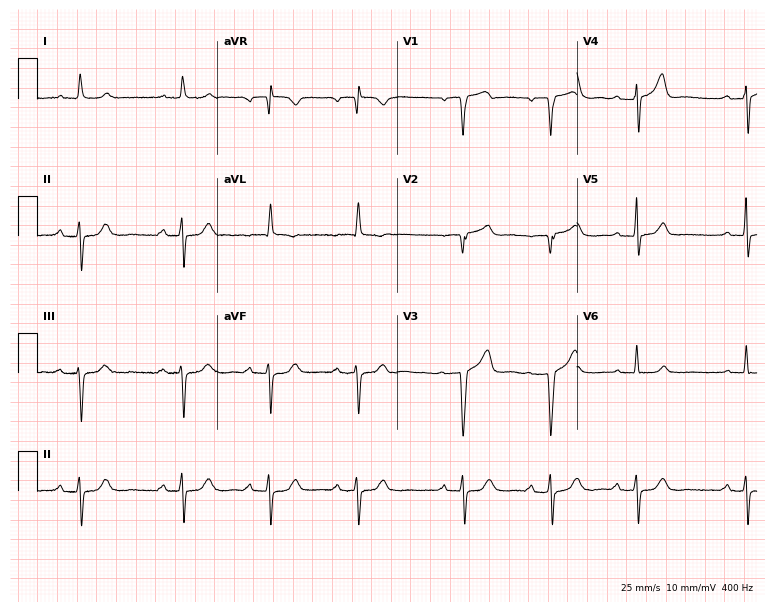
Electrocardiogram (7.3-second recording at 400 Hz), a male, 75 years old. Interpretation includes first-degree AV block.